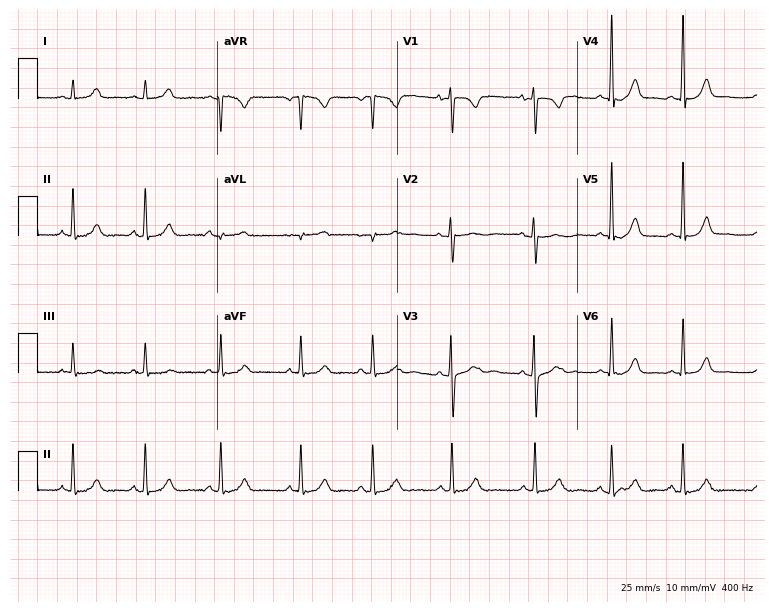
Resting 12-lead electrocardiogram. Patient: an 18-year-old female. None of these six findings is recorded: first-degree AV block, right bundle branch block (RBBB), left bundle branch block (LBBB), sinus bradycardia, atrial fibrillation (AF), sinus tachycardia. Other findings, if any, are not listed.